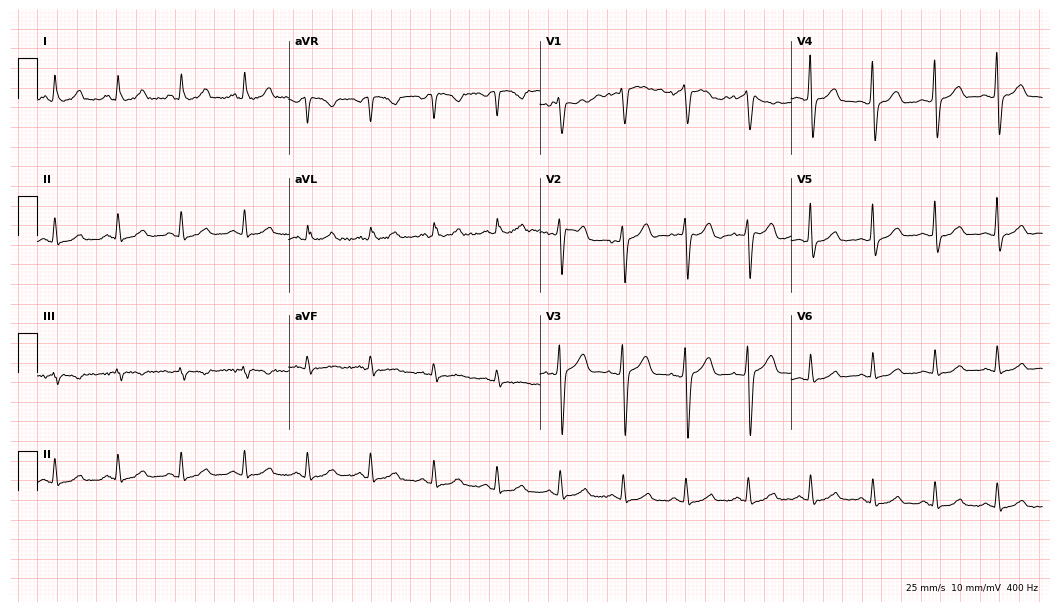
12-lead ECG from a female patient, 47 years old. Recorded interpretation: within normal limits.